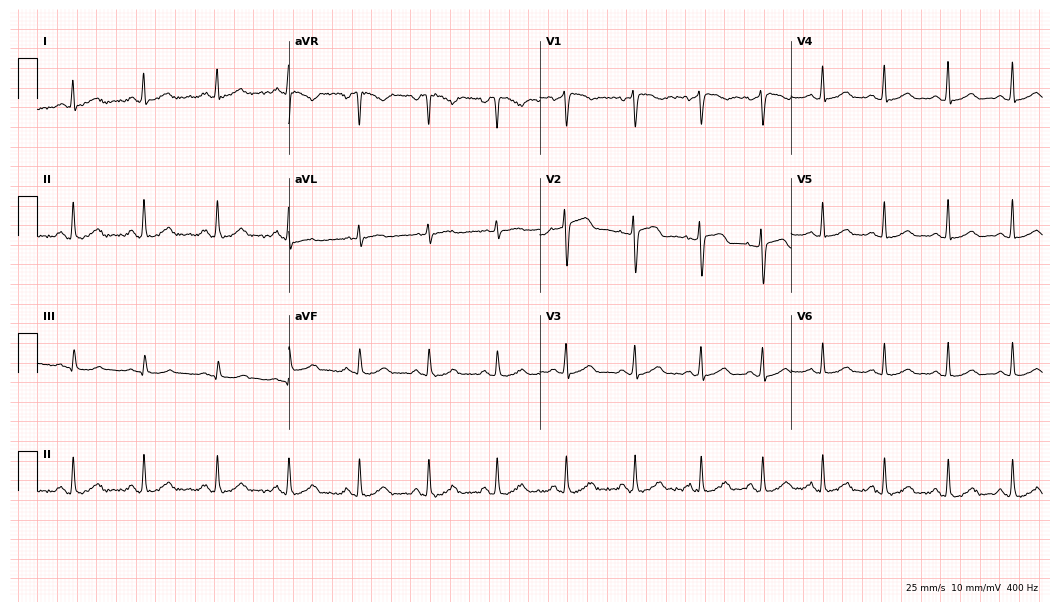
ECG (10.2-second recording at 400 Hz) — a female patient, 48 years old. Labelled as a normal ECG.